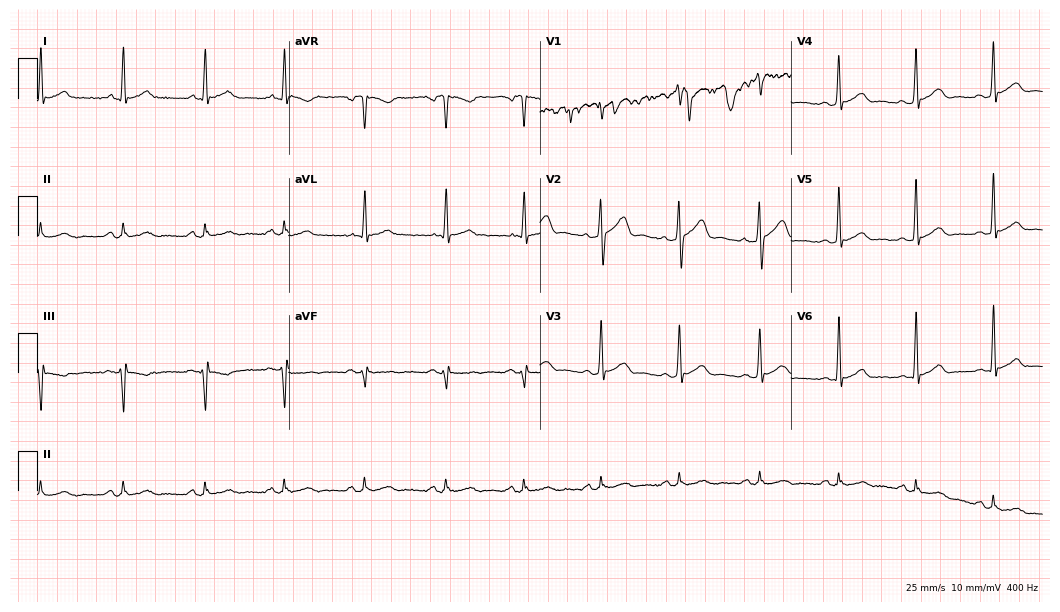
Resting 12-lead electrocardiogram. Patient: a male, 55 years old. Read as a normal ECG.